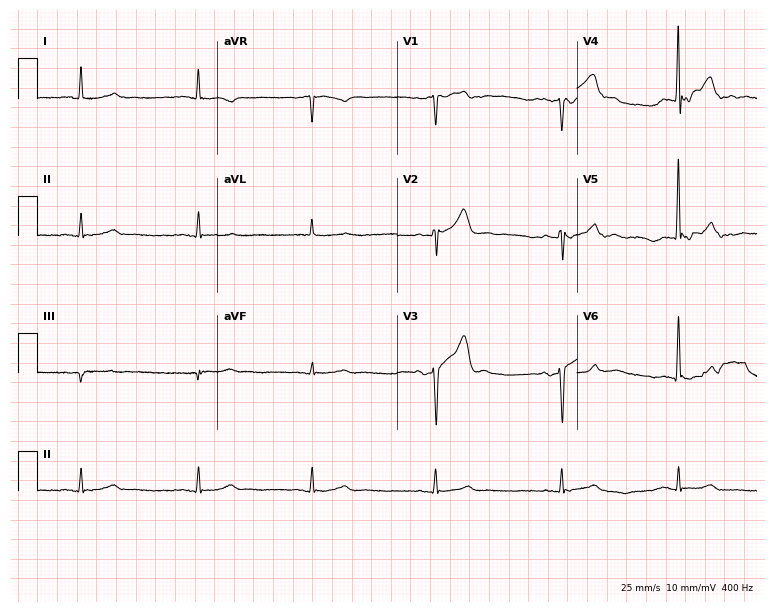
12-lead ECG from an 86-year-old man. Shows sinus bradycardia (a sinus rate of 50 beats per minute or less).